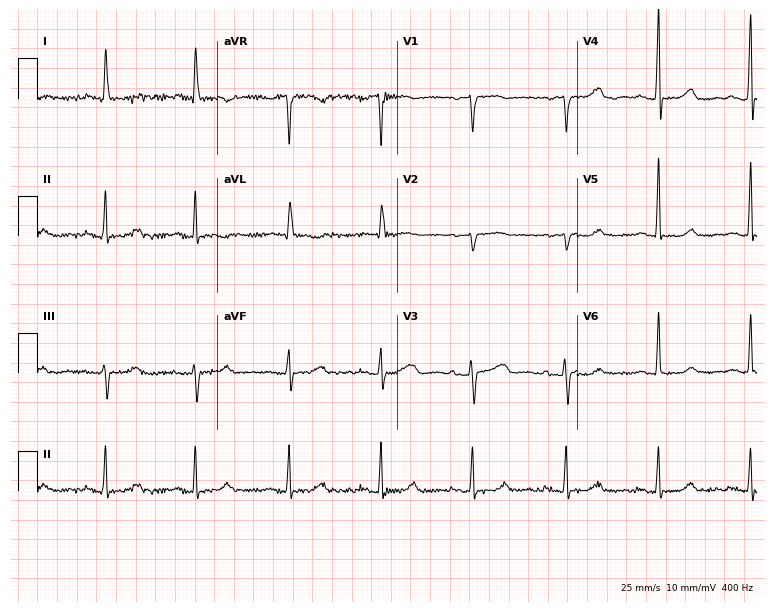
12-lead ECG from a woman, 66 years old (7.3-second recording at 400 Hz). Recorded interpretation: within normal limits.